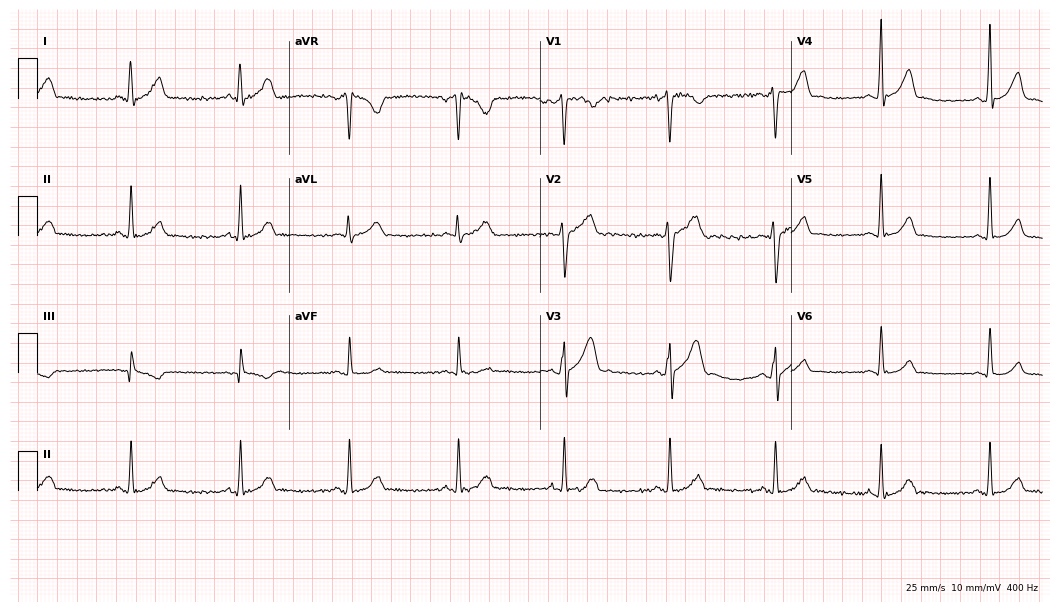
Resting 12-lead electrocardiogram. Patient: a 37-year-old male. Read as a normal ECG.